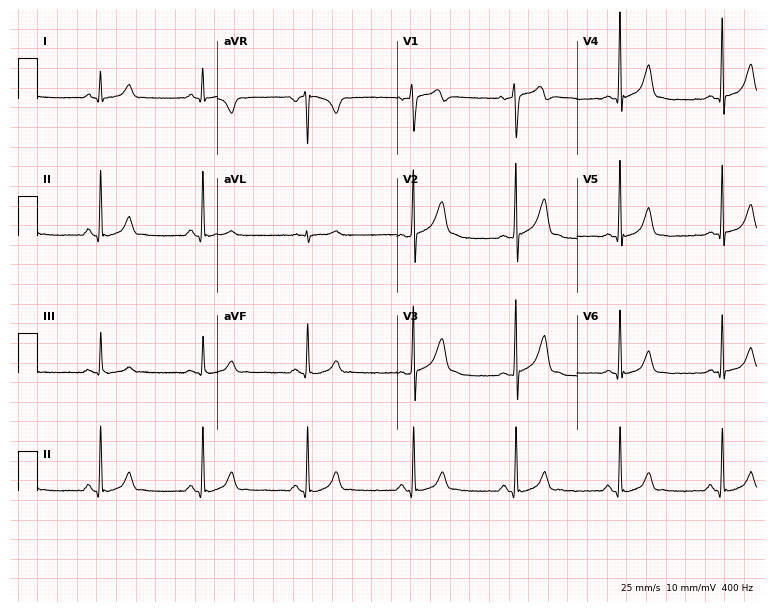
ECG — a 27-year-old male patient. Screened for six findings — first-degree AV block, right bundle branch block, left bundle branch block, sinus bradycardia, atrial fibrillation, sinus tachycardia — none is recorded. Findings outside these six are not listed.